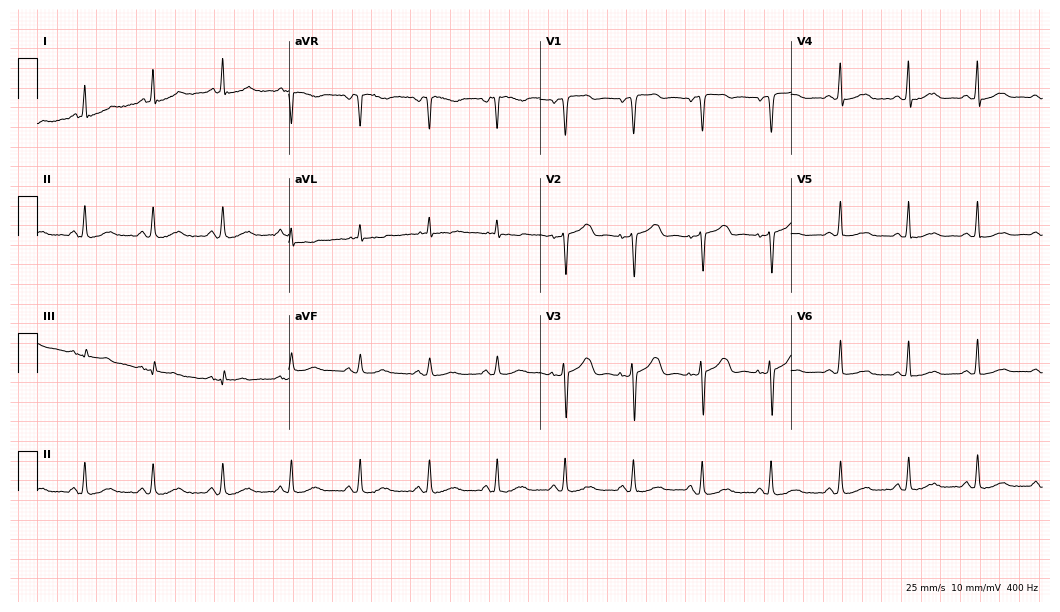
12-lead ECG from a woman, 67 years old (10.2-second recording at 400 Hz). Recorded interpretation: within normal limits.